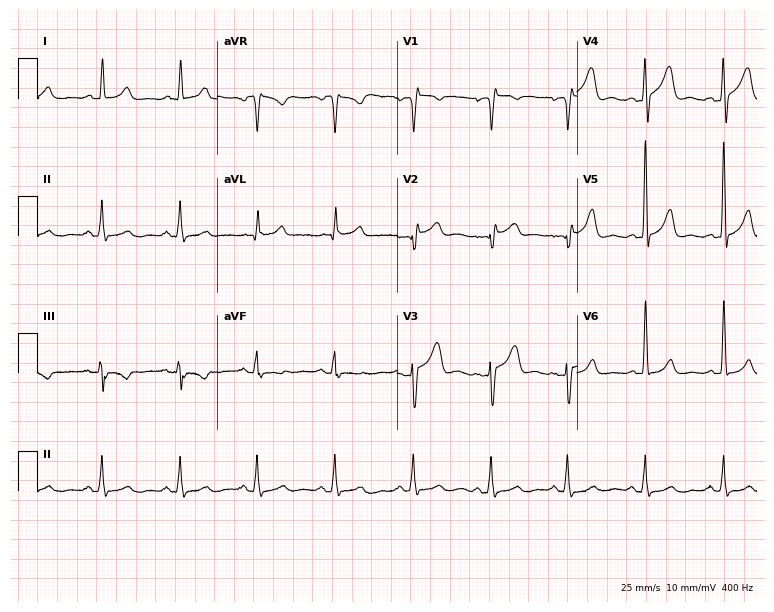
12-lead ECG from a 53-year-old male (7.3-second recording at 400 Hz). No first-degree AV block, right bundle branch block, left bundle branch block, sinus bradycardia, atrial fibrillation or sinus tachycardia recorded for this tracing. Only these six findings were labelled.